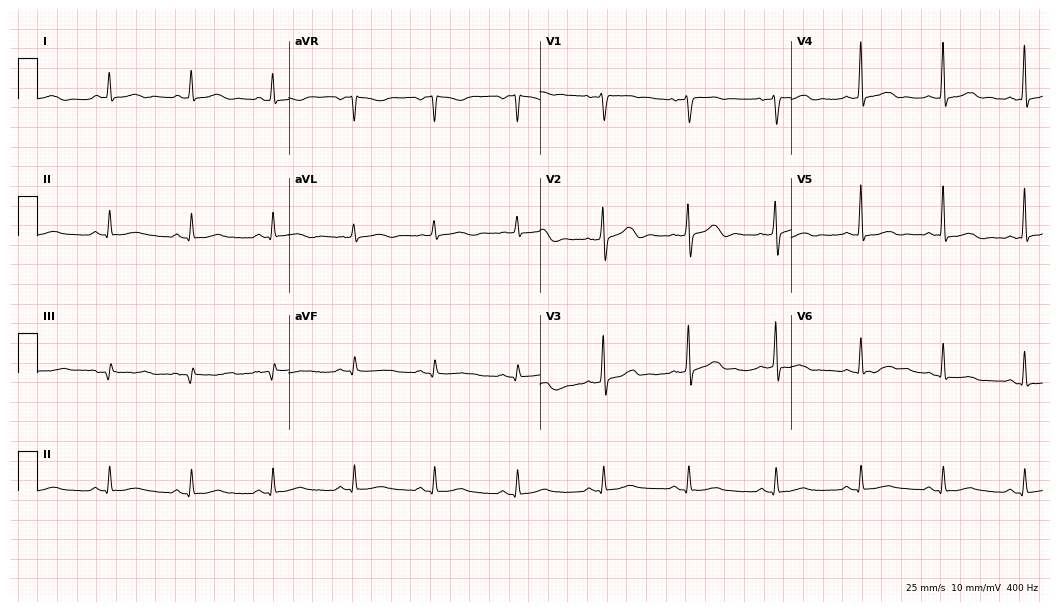
12-lead ECG from a male, 53 years old (10.2-second recording at 400 Hz). No first-degree AV block, right bundle branch block (RBBB), left bundle branch block (LBBB), sinus bradycardia, atrial fibrillation (AF) or sinus tachycardia recorded for this tracing. Findings outside these six are not listed.